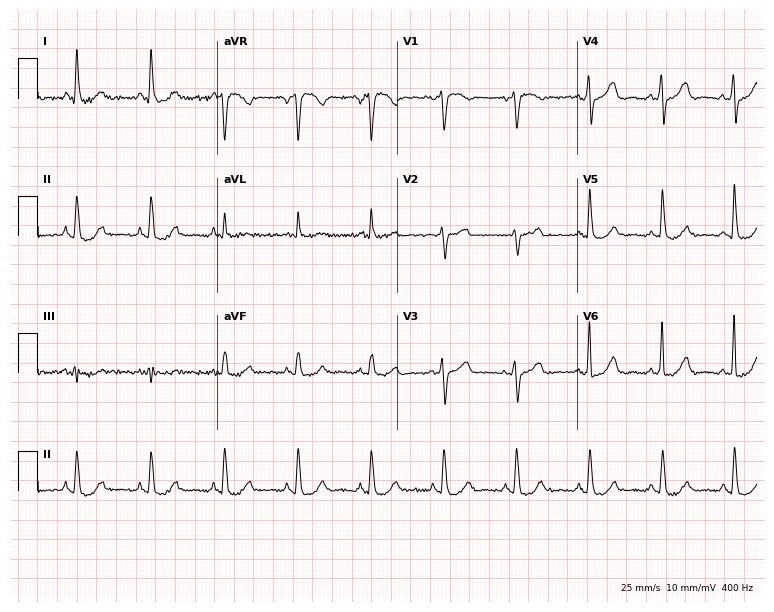
Resting 12-lead electrocardiogram. Patient: a 54-year-old female. Read as a normal ECG.